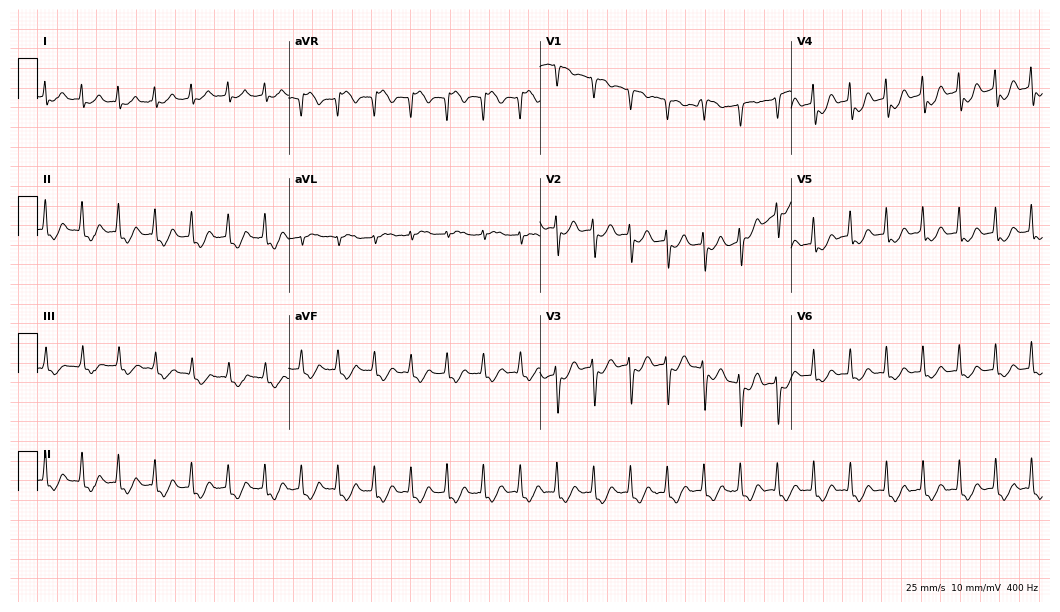
12-lead ECG from a female, 50 years old. No first-degree AV block, right bundle branch block, left bundle branch block, sinus bradycardia, atrial fibrillation or sinus tachycardia recorded for this tracing. Findings outside these six are not listed.